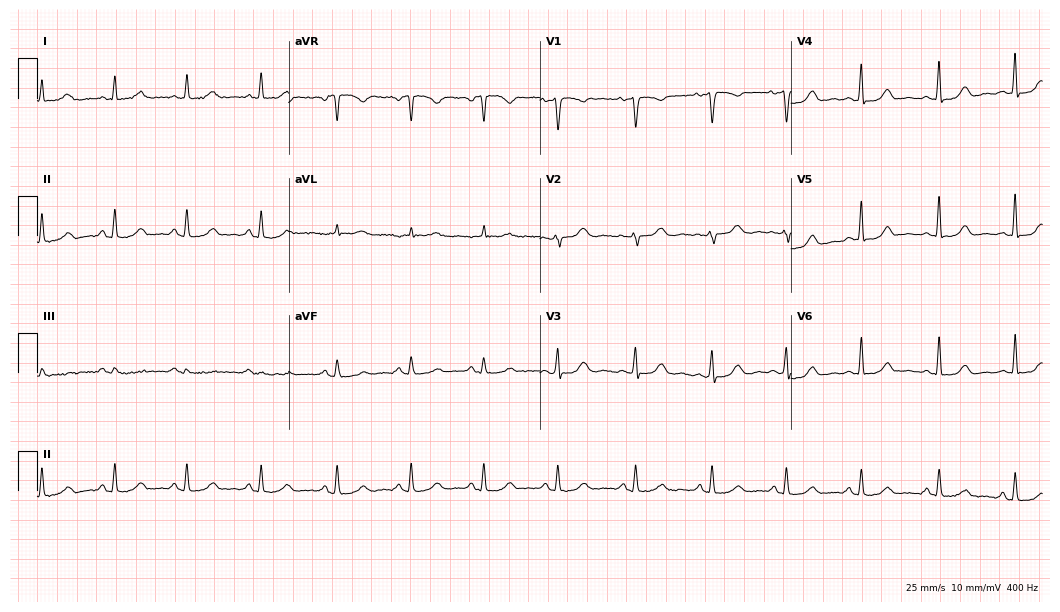
12-lead ECG (10.2-second recording at 400 Hz) from a 66-year-old female. Labelled as a normal ECG.